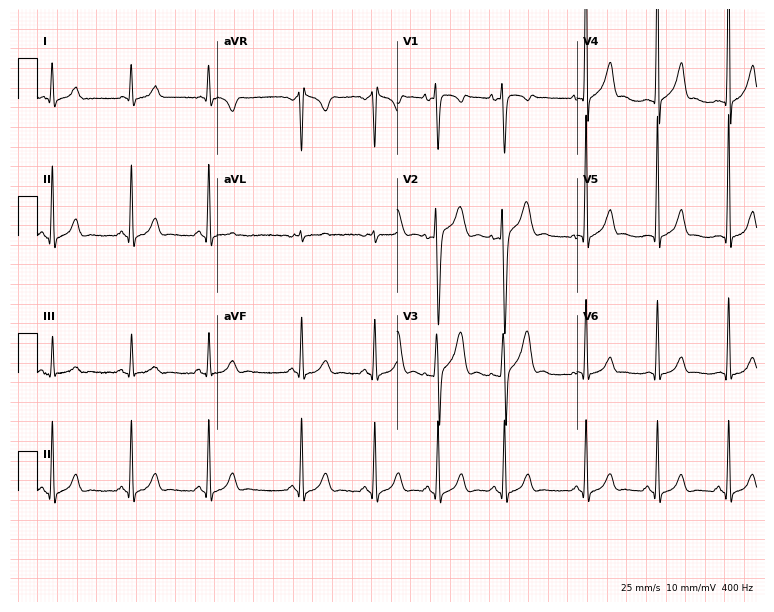
12-lead ECG from a 20-year-old male patient (7.3-second recording at 400 Hz). Recorded interpretation: within normal limits.